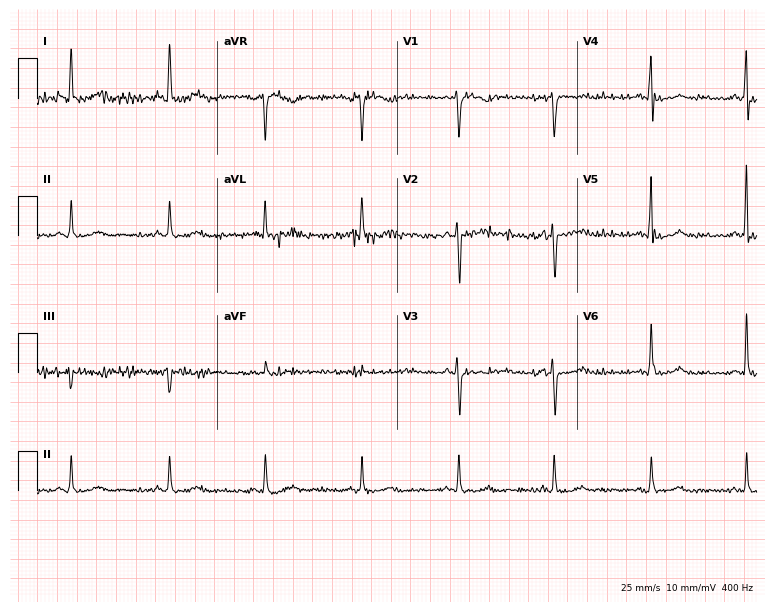
Electrocardiogram (7.3-second recording at 400 Hz), a female patient, 65 years old. Overall reading on record: normal ECG.